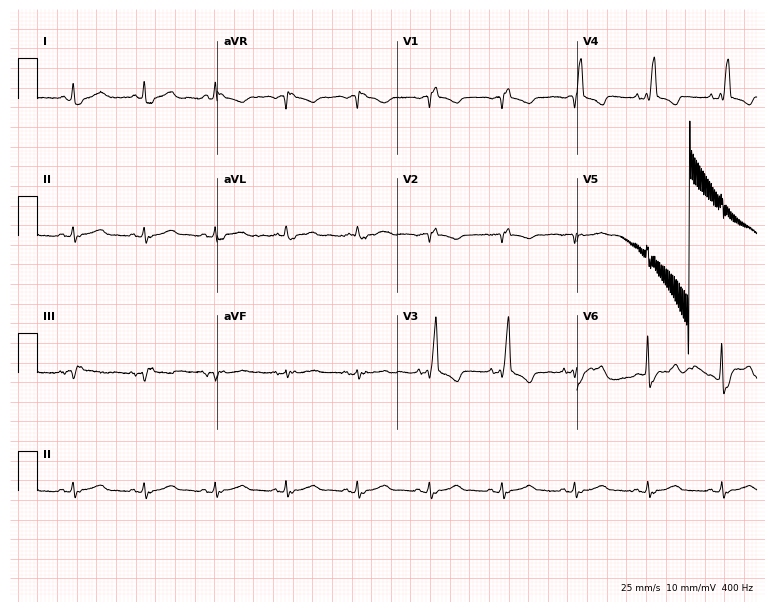
Resting 12-lead electrocardiogram. Patient: a 78-year-old man. The tracing shows right bundle branch block.